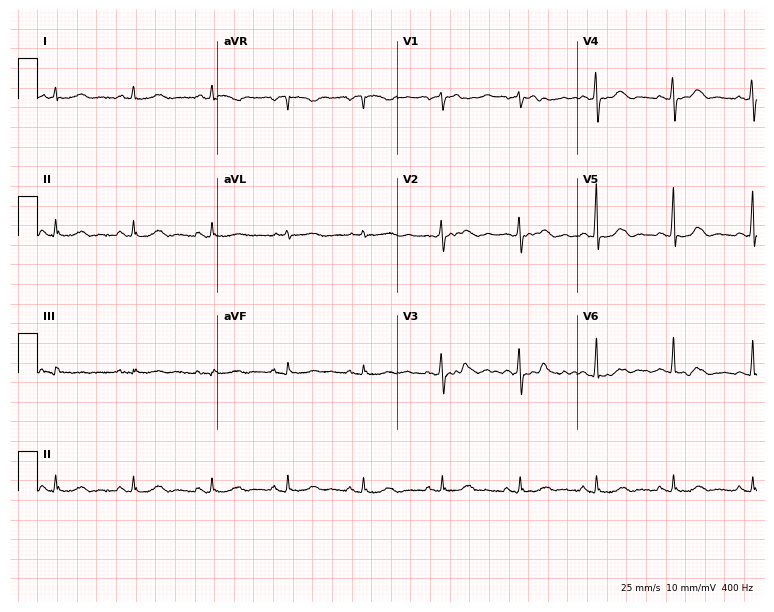
ECG (7.3-second recording at 400 Hz) — a female, 75 years old. Screened for six findings — first-degree AV block, right bundle branch block (RBBB), left bundle branch block (LBBB), sinus bradycardia, atrial fibrillation (AF), sinus tachycardia — none is recorded.